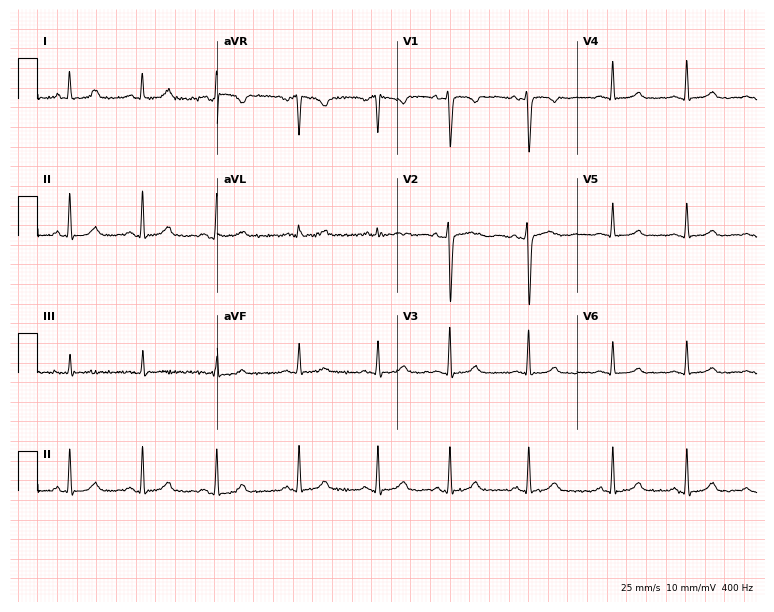
12-lead ECG from a 29-year-old female patient. Recorded interpretation: within normal limits.